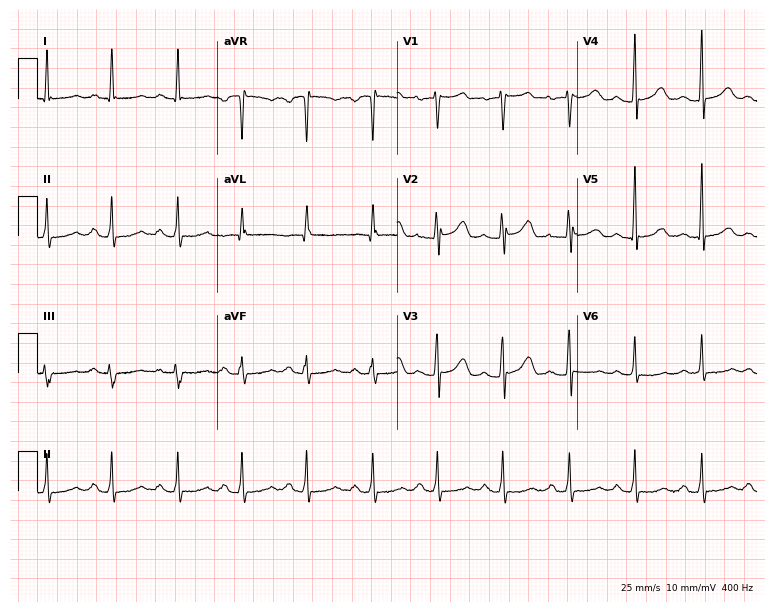
Resting 12-lead electrocardiogram. Patient: a 55-year-old female. None of these six findings is recorded: first-degree AV block, right bundle branch block, left bundle branch block, sinus bradycardia, atrial fibrillation, sinus tachycardia. Other findings, if any, are not listed.